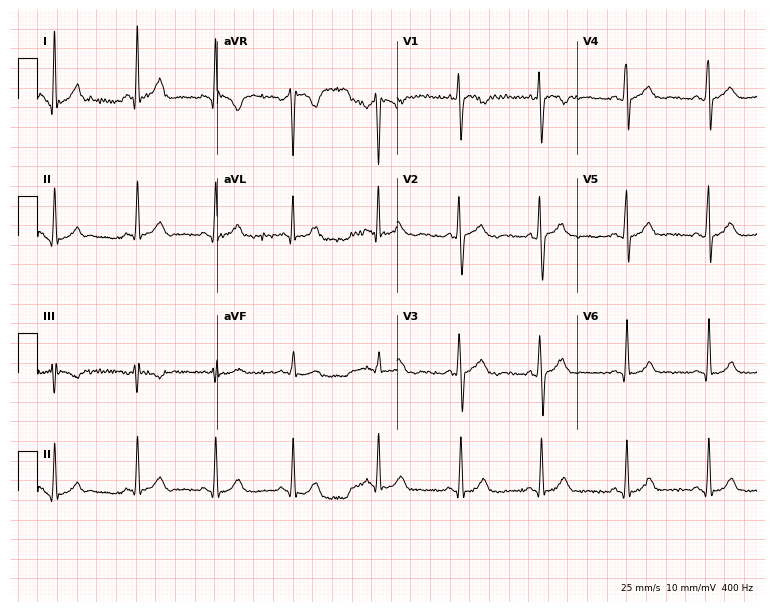
12-lead ECG from a 22-year-old male. Labelled as a normal ECG.